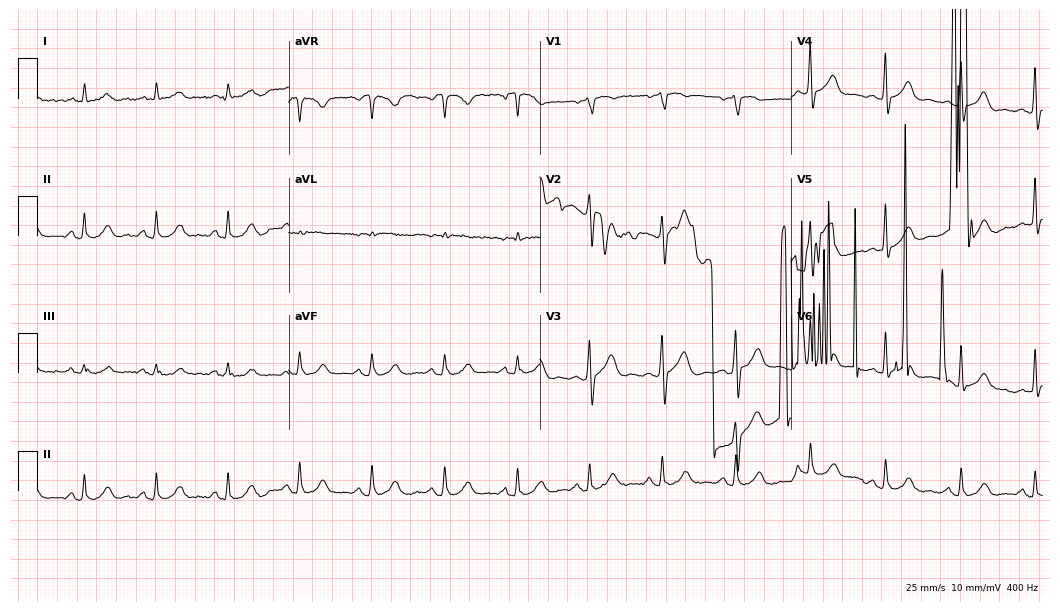
12-lead ECG (10.2-second recording at 400 Hz) from a 74-year-old male patient. Screened for six findings — first-degree AV block, right bundle branch block, left bundle branch block, sinus bradycardia, atrial fibrillation, sinus tachycardia — none is recorded.